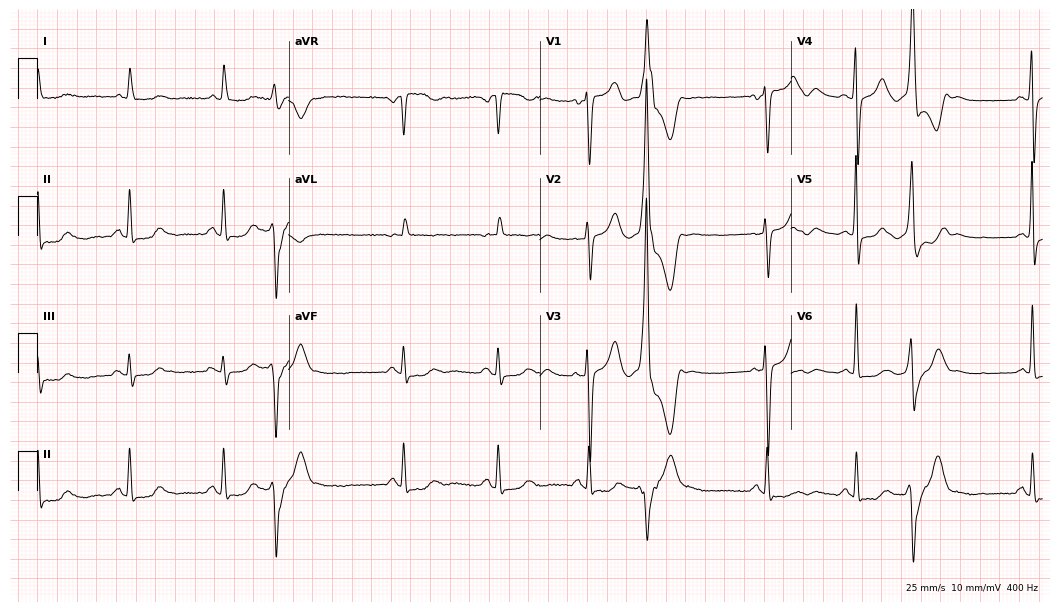
12-lead ECG (10.2-second recording at 400 Hz) from a female, 72 years old. Screened for six findings — first-degree AV block, right bundle branch block, left bundle branch block, sinus bradycardia, atrial fibrillation, sinus tachycardia — none is recorded. Only these six findings were labelled.